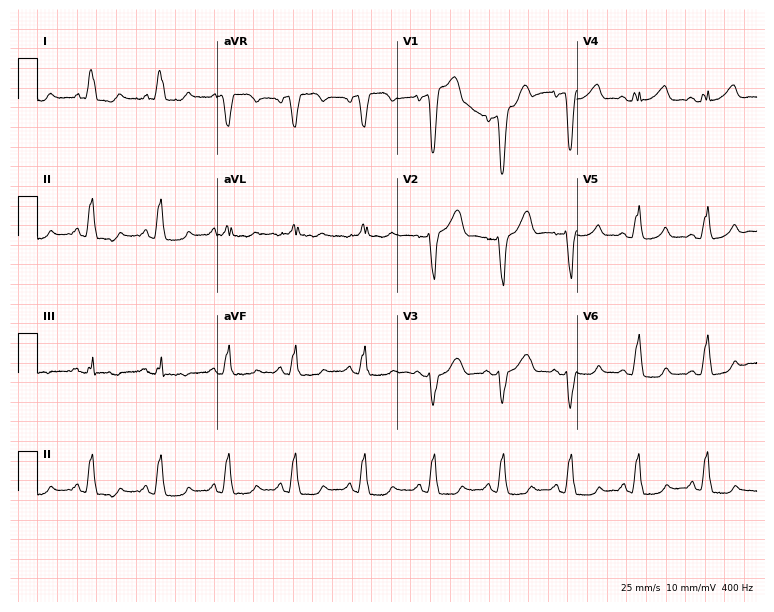
ECG — a female patient, 78 years old. Findings include left bundle branch block.